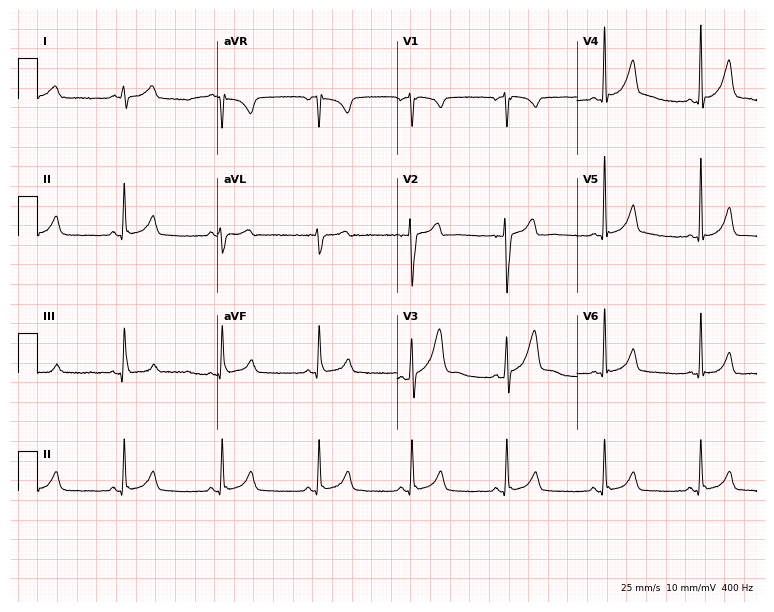
12-lead ECG (7.3-second recording at 400 Hz) from a 34-year-old male patient. Screened for six findings — first-degree AV block, right bundle branch block, left bundle branch block, sinus bradycardia, atrial fibrillation, sinus tachycardia — none is recorded.